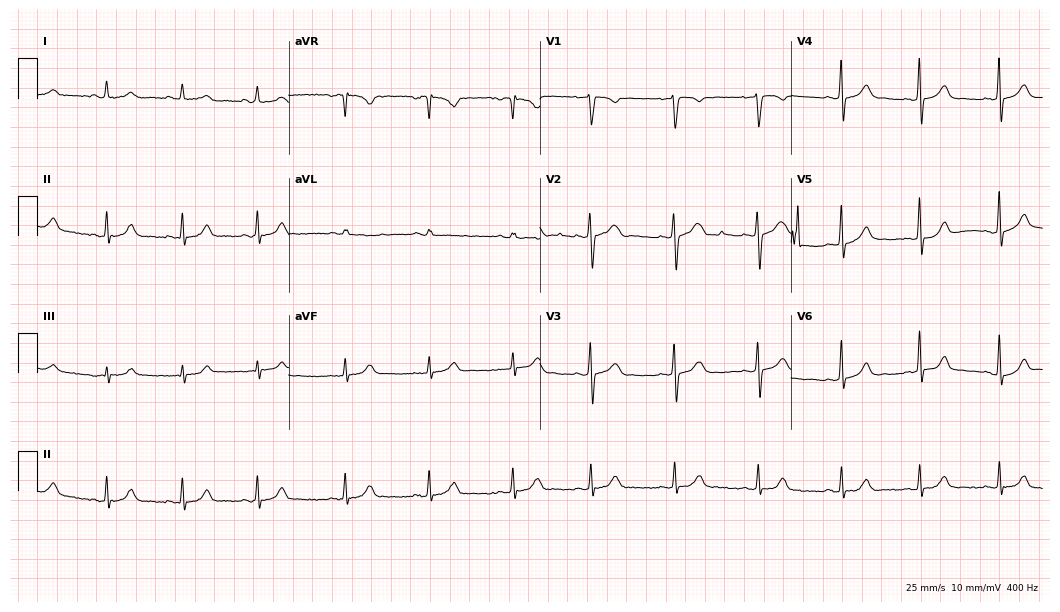
Resting 12-lead electrocardiogram. Patient: a female, 23 years old. Read as a normal ECG.